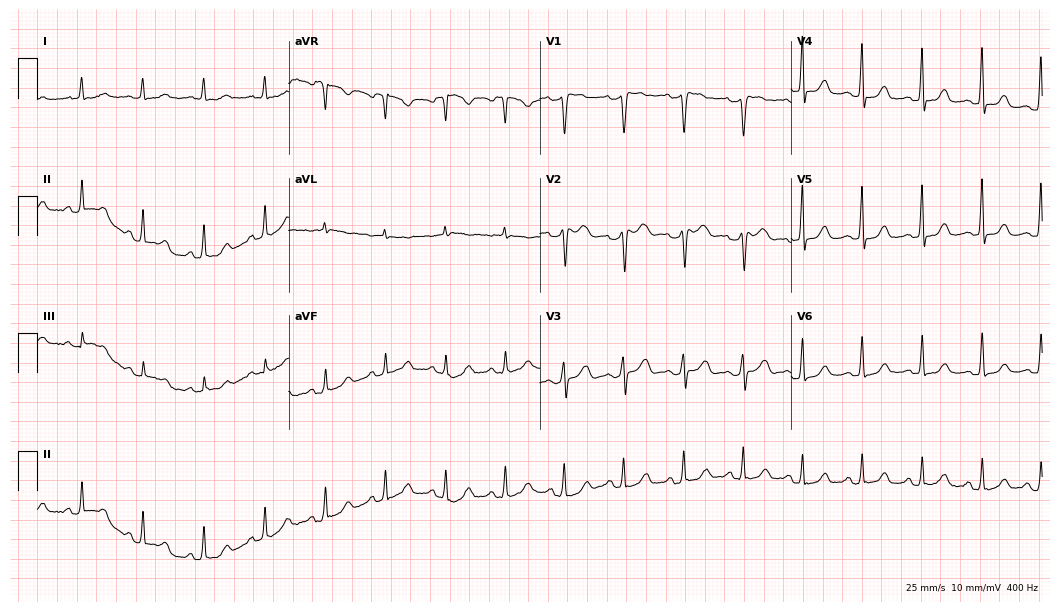
ECG (10.2-second recording at 400 Hz) — a 64-year-old woman. Labelled as a normal ECG.